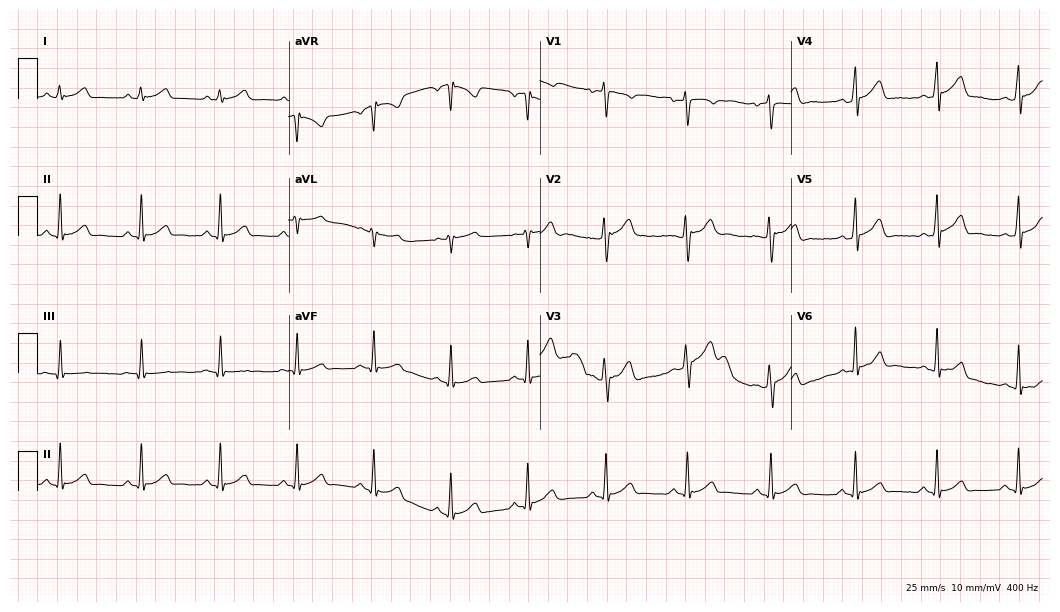
12-lead ECG (10.2-second recording at 400 Hz) from a 33-year-old male. Labelled as a normal ECG.